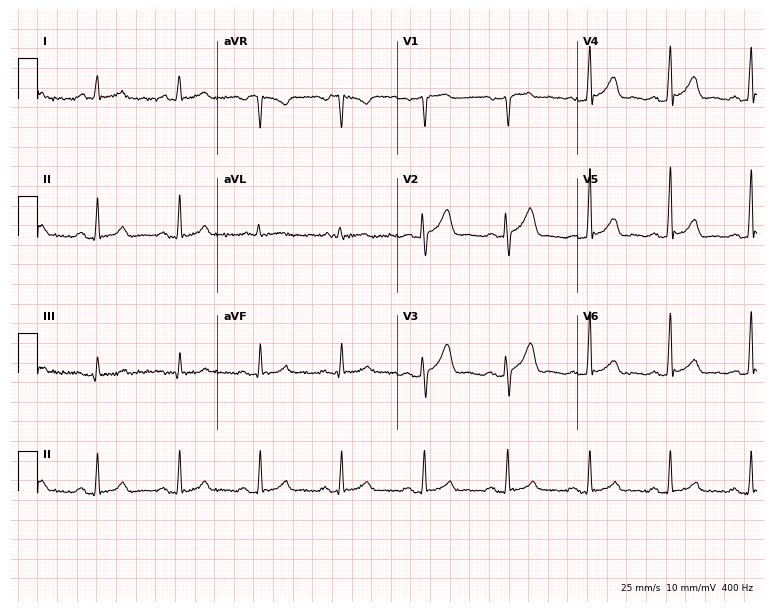
12-lead ECG from a 52-year-old male (7.3-second recording at 400 Hz). Recorded interpretation: within normal limits.